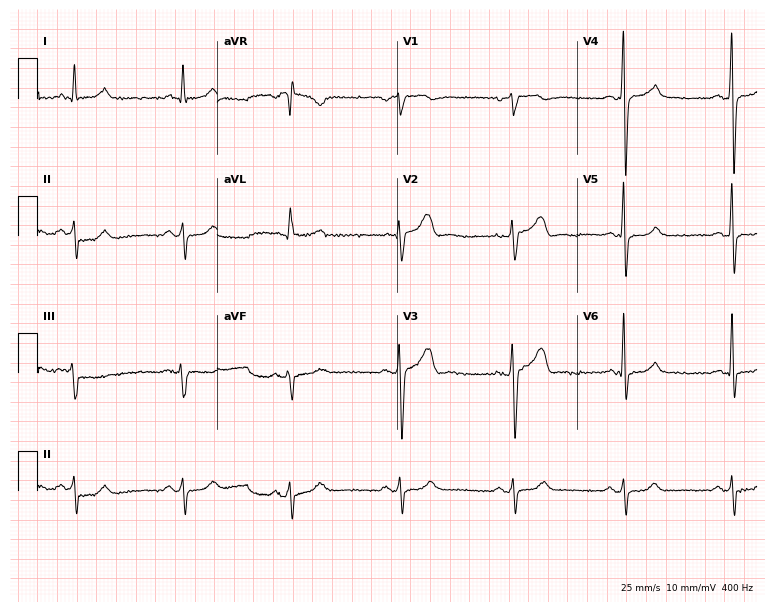
12-lead ECG from a male, 54 years old (7.3-second recording at 400 Hz). No first-degree AV block, right bundle branch block (RBBB), left bundle branch block (LBBB), sinus bradycardia, atrial fibrillation (AF) or sinus tachycardia recorded for this tracing. Other findings, if any, are not listed.